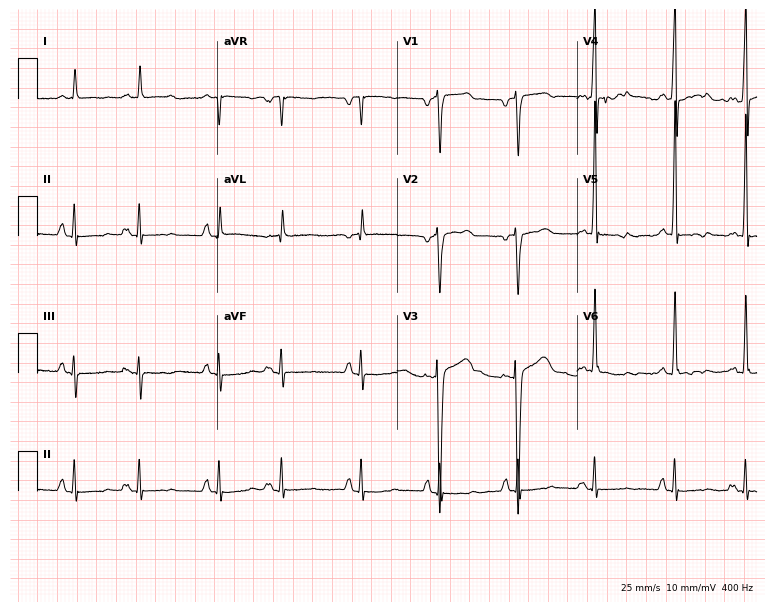
Standard 12-lead ECG recorded from a 79-year-old man. None of these six findings is recorded: first-degree AV block, right bundle branch block (RBBB), left bundle branch block (LBBB), sinus bradycardia, atrial fibrillation (AF), sinus tachycardia. Other findings, if any, are not listed.